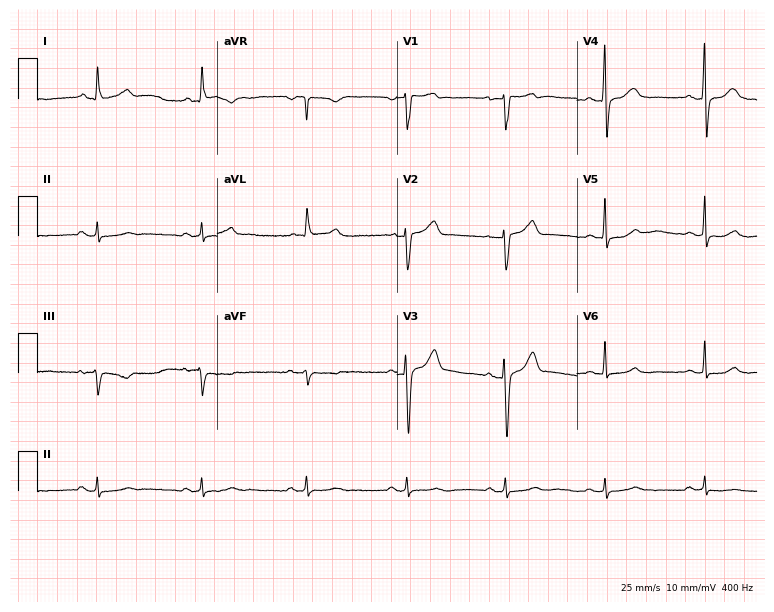
Standard 12-lead ECG recorded from a male, 47 years old. None of these six findings is recorded: first-degree AV block, right bundle branch block (RBBB), left bundle branch block (LBBB), sinus bradycardia, atrial fibrillation (AF), sinus tachycardia.